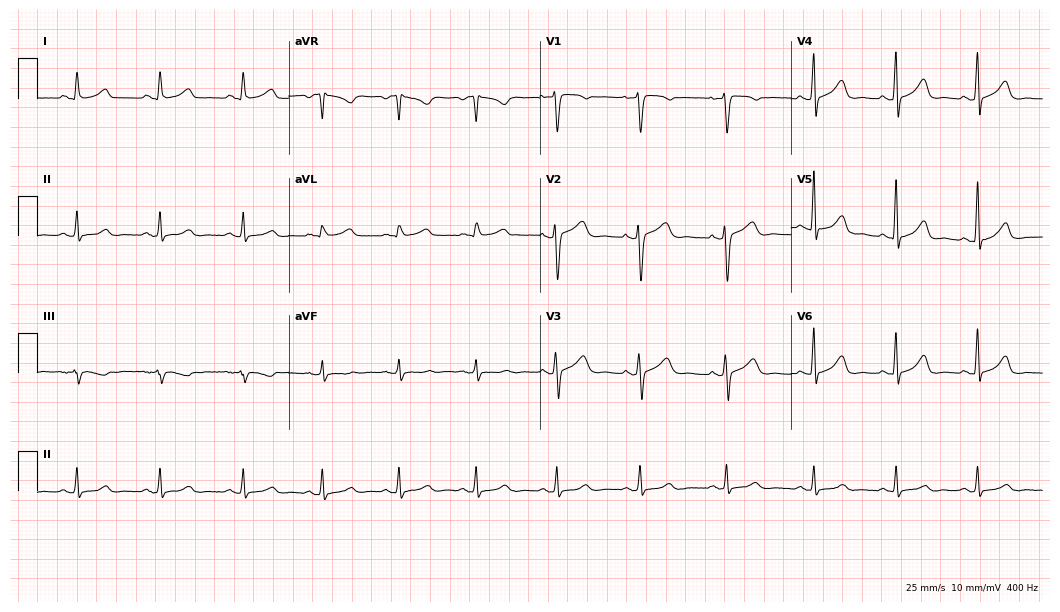
Standard 12-lead ECG recorded from a female, 49 years old. Read as a normal ECG.